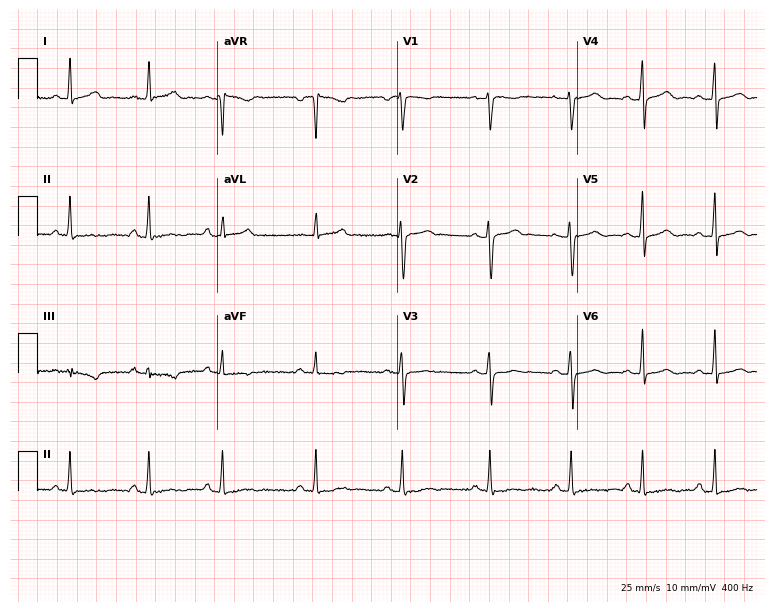
Resting 12-lead electrocardiogram (7.3-second recording at 400 Hz). Patient: a female, 24 years old. Read as a normal ECG.